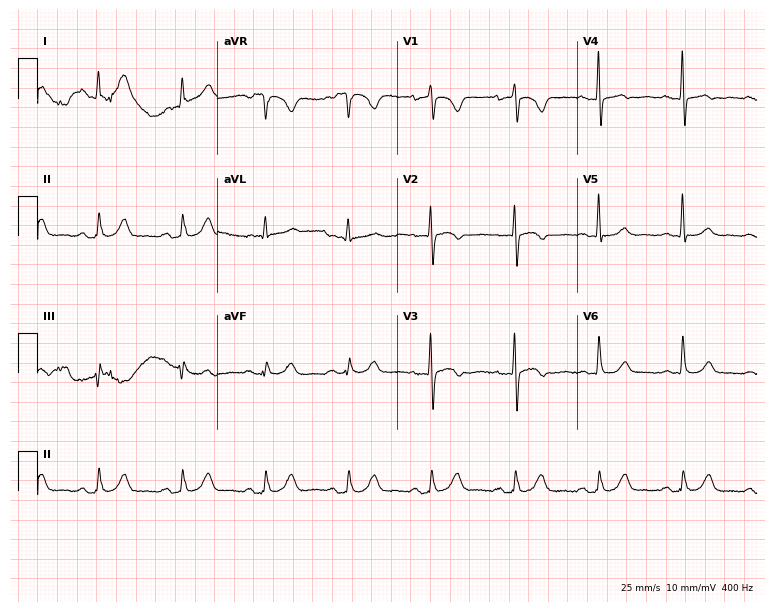
12-lead ECG from a female, 77 years old (7.3-second recording at 400 Hz). No first-degree AV block, right bundle branch block, left bundle branch block, sinus bradycardia, atrial fibrillation or sinus tachycardia recorded for this tracing.